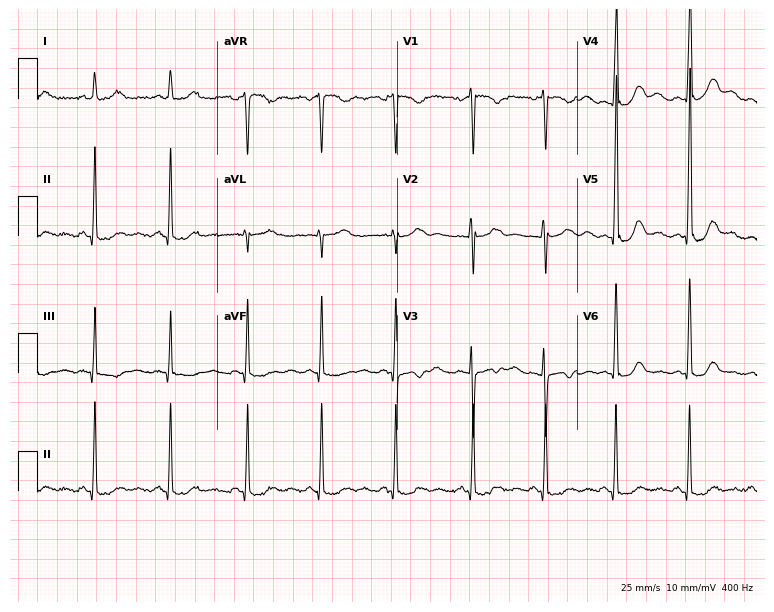
Standard 12-lead ECG recorded from a 26-year-old woman. None of these six findings is recorded: first-degree AV block, right bundle branch block, left bundle branch block, sinus bradycardia, atrial fibrillation, sinus tachycardia.